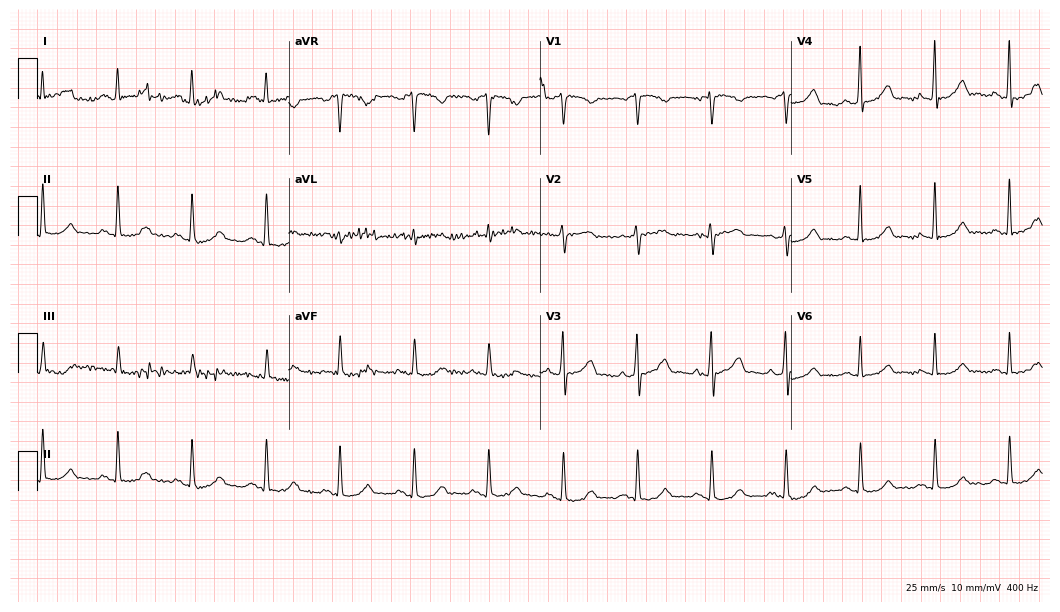
12-lead ECG from a 75-year-old man. No first-degree AV block, right bundle branch block, left bundle branch block, sinus bradycardia, atrial fibrillation or sinus tachycardia recorded for this tracing. Only these six findings were labelled.